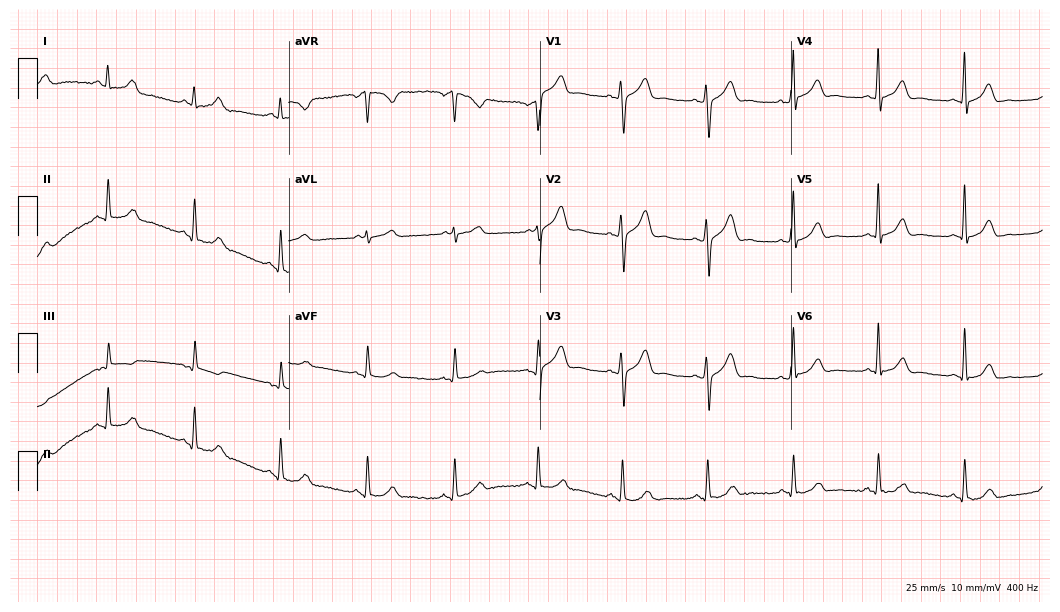
12-lead ECG from a man, 38 years old. Recorded interpretation: within normal limits.